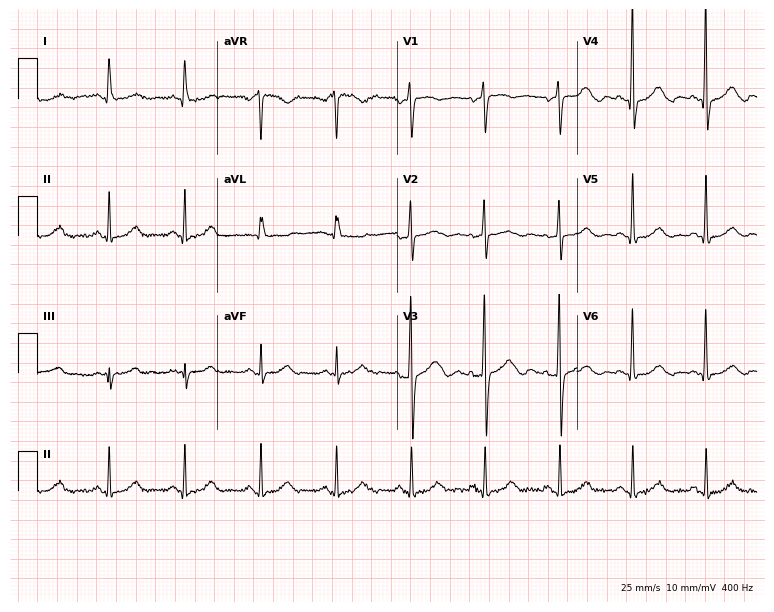
12-lead ECG from a 48-year-old female. Labelled as a normal ECG.